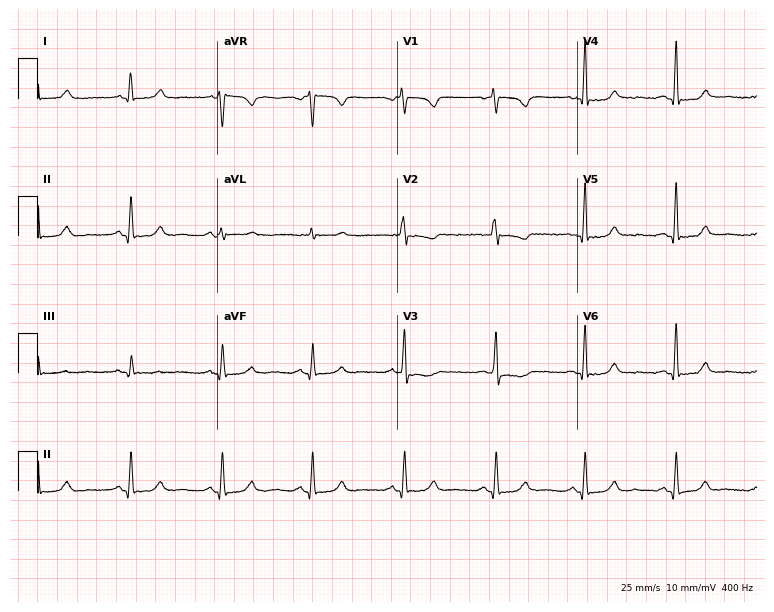
Resting 12-lead electrocardiogram. Patient: a 38-year-old woman. None of these six findings is recorded: first-degree AV block, right bundle branch block, left bundle branch block, sinus bradycardia, atrial fibrillation, sinus tachycardia.